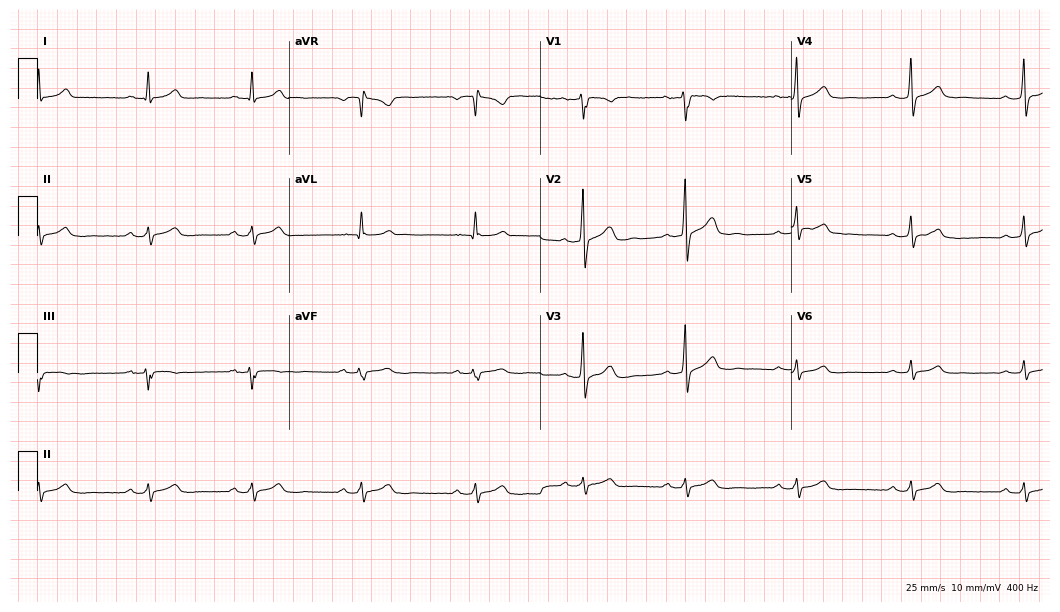
Electrocardiogram (10.2-second recording at 400 Hz), a male, 39 years old. Of the six screened findings (first-degree AV block, right bundle branch block (RBBB), left bundle branch block (LBBB), sinus bradycardia, atrial fibrillation (AF), sinus tachycardia), none is recorded.